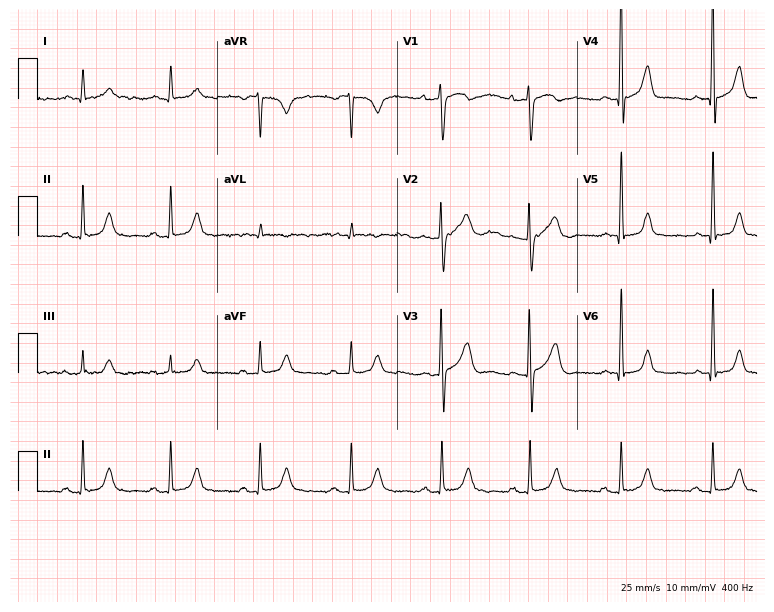
12-lead ECG (7.3-second recording at 400 Hz) from a 63-year-old female patient. Screened for six findings — first-degree AV block, right bundle branch block (RBBB), left bundle branch block (LBBB), sinus bradycardia, atrial fibrillation (AF), sinus tachycardia — none is recorded. Other findings, if any, are not listed.